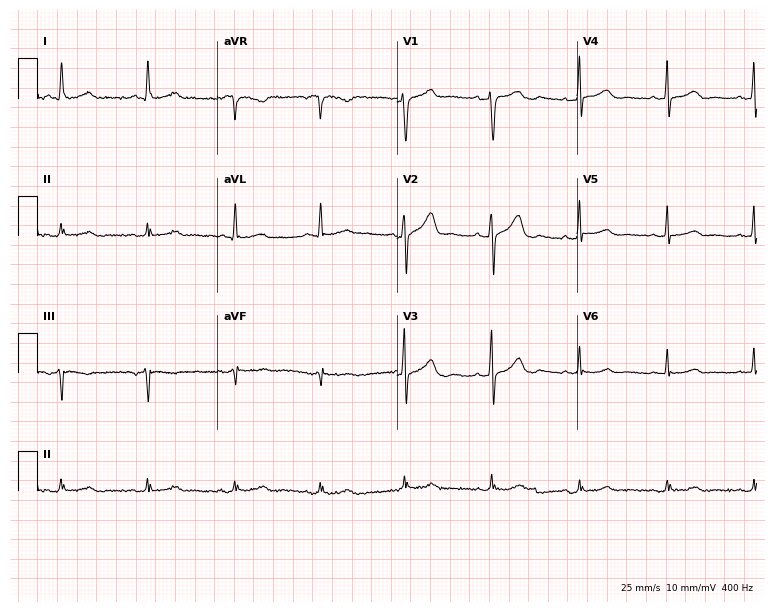
Resting 12-lead electrocardiogram (7.3-second recording at 400 Hz). Patient: a 55-year-old female. Read as a normal ECG.